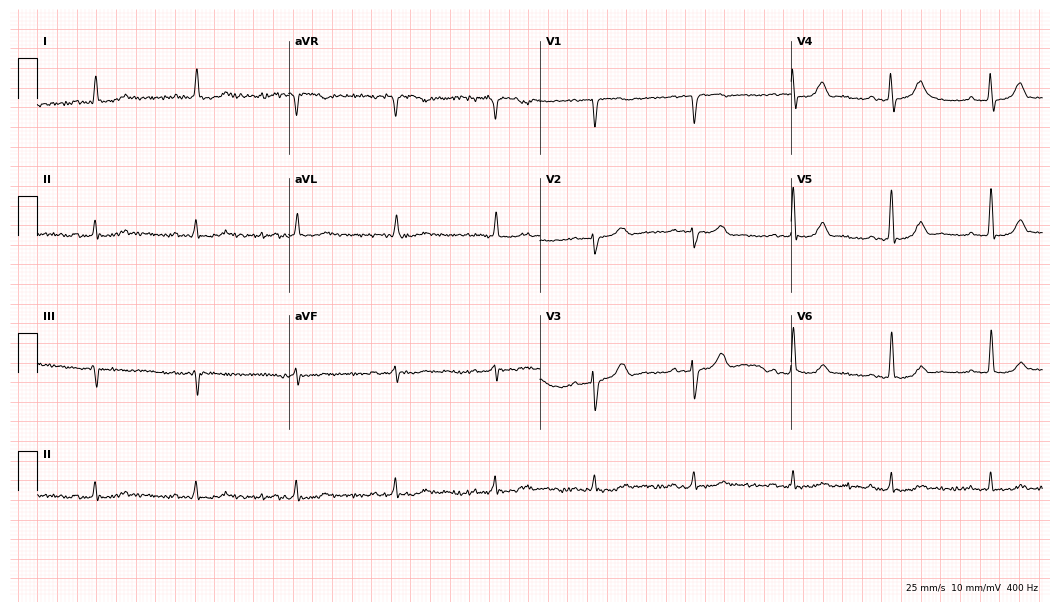
12-lead ECG from an 82-year-old male (10.2-second recording at 400 Hz). No first-degree AV block, right bundle branch block, left bundle branch block, sinus bradycardia, atrial fibrillation or sinus tachycardia recorded for this tracing. Other findings, if any, are not listed.